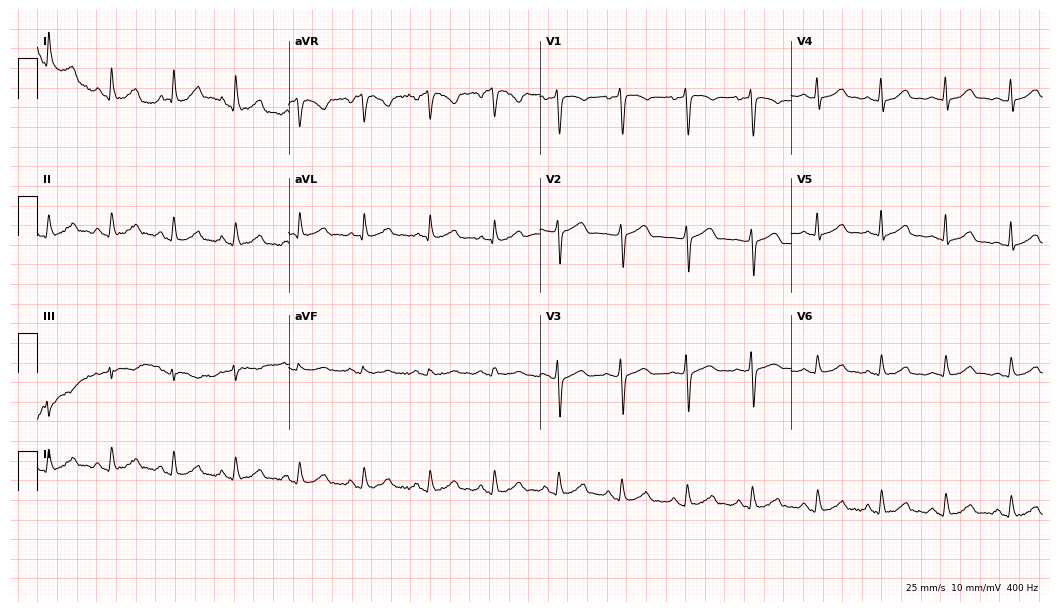
12-lead ECG from a 55-year-old female. Labelled as a normal ECG.